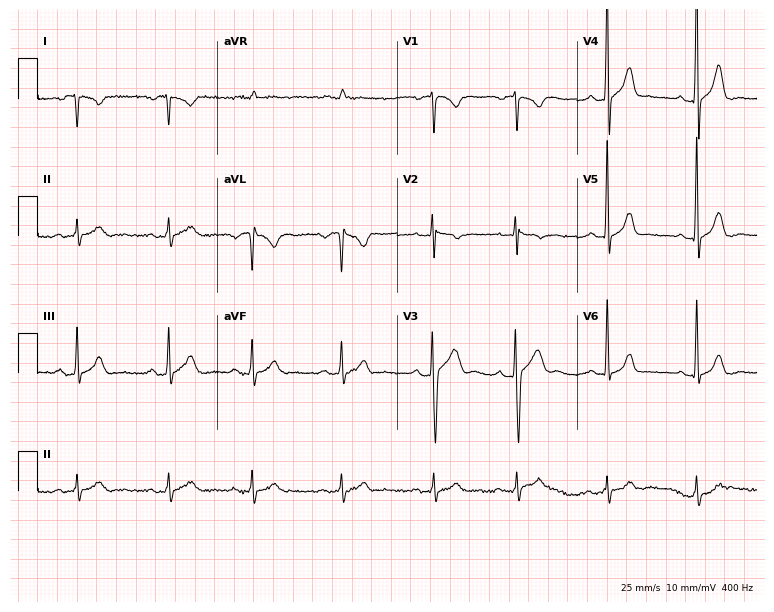
12-lead ECG from a 19-year-old male patient (7.3-second recording at 400 Hz). No first-degree AV block, right bundle branch block (RBBB), left bundle branch block (LBBB), sinus bradycardia, atrial fibrillation (AF) or sinus tachycardia recorded for this tracing.